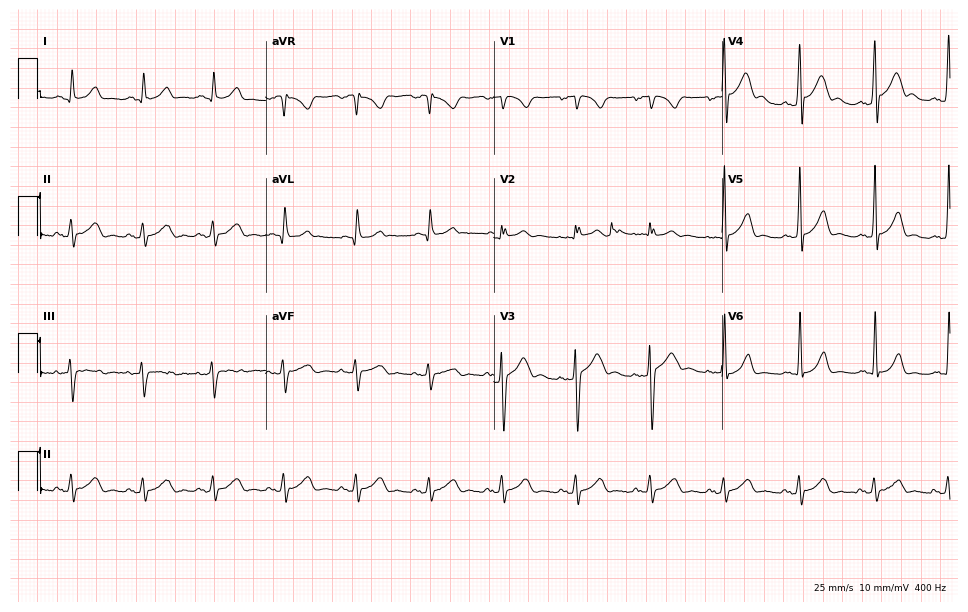
ECG (9.3-second recording at 400 Hz) — a 22-year-old man. Labelled as a normal ECG.